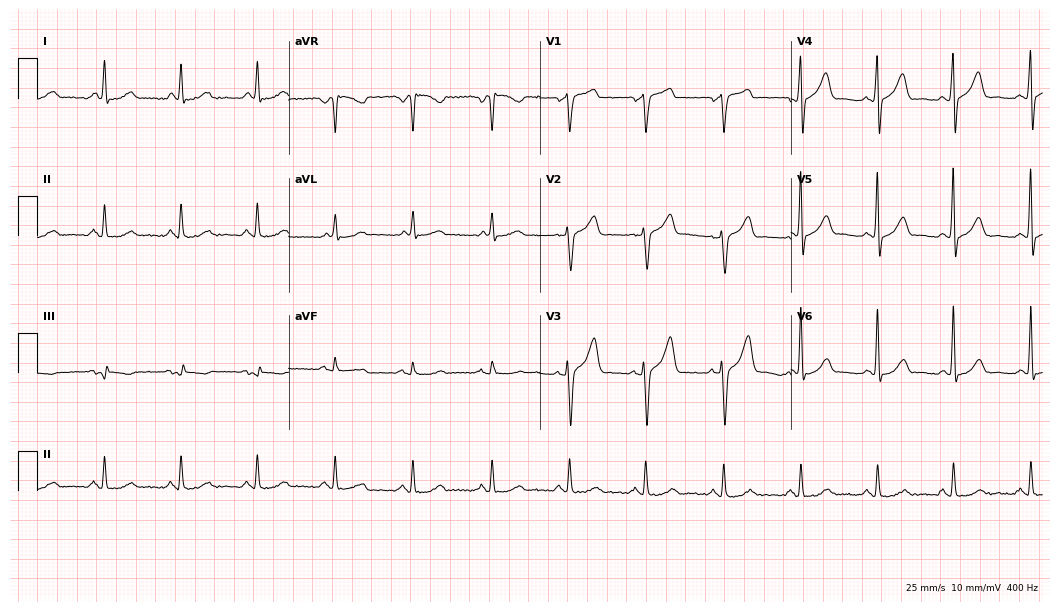
ECG (10.2-second recording at 400 Hz) — a male, 58 years old. Labelled as a normal ECG.